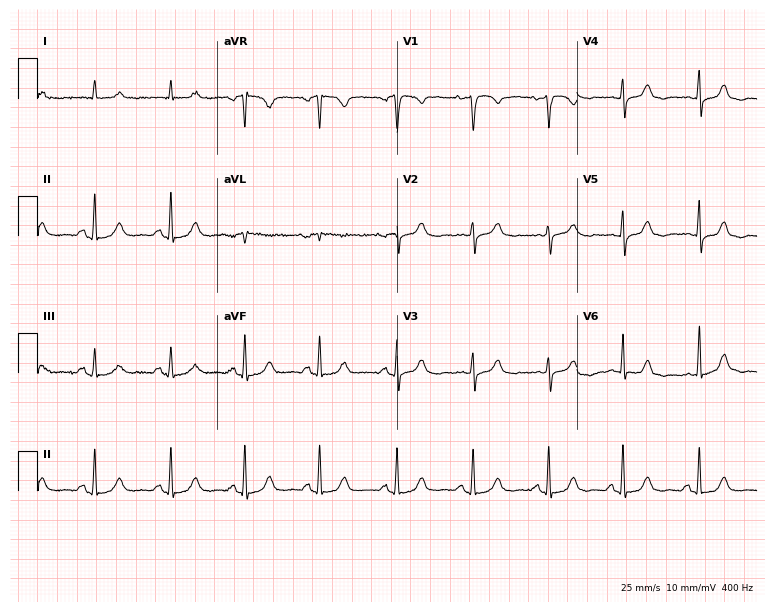
Standard 12-lead ECG recorded from a 76-year-old woman (7.3-second recording at 400 Hz). Read as a normal ECG.